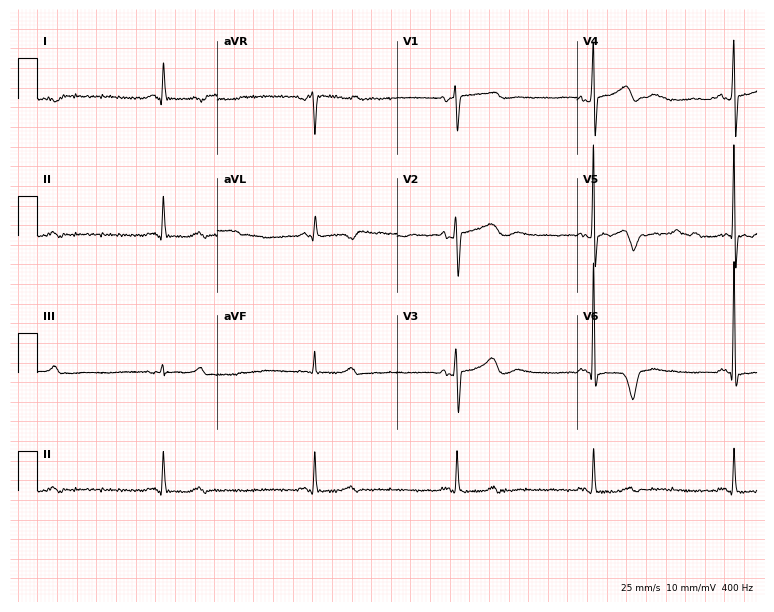
12-lead ECG from a female patient, 57 years old. Screened for six findings — first-degree AV block, right bundle branch block, left bundle branch block, sinus bradycardia, atrial fibrillation, sinus tachycardia — none is recorded. Findings outside these six are not listed.